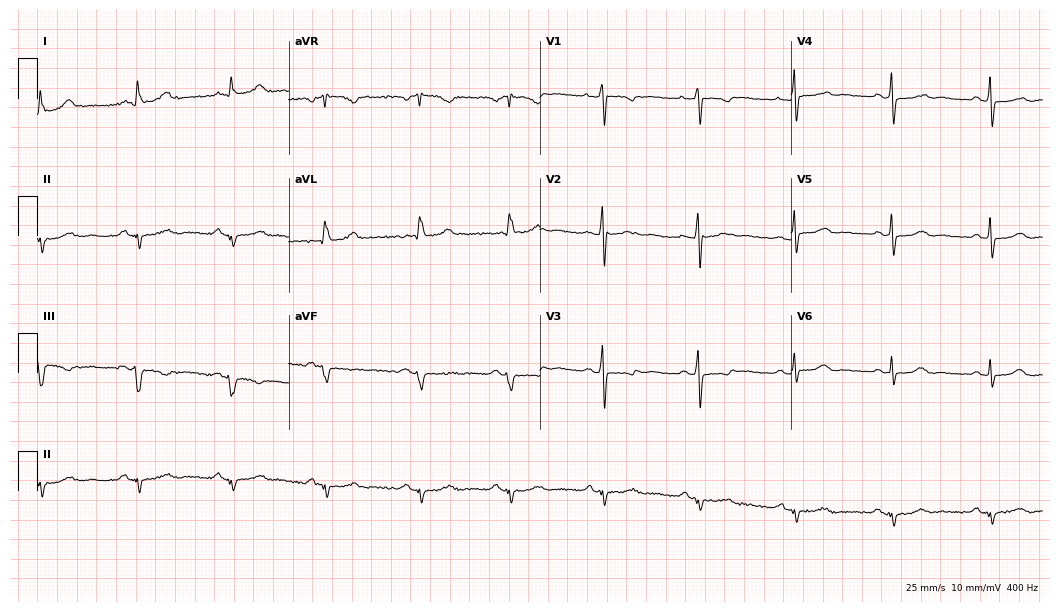
Electrocardiogram (10.2-second recording at 400 Hz), a 68-year-old man. Of the six screened findings (first-degree AV block, right bundle branch block, left bundle branch block, sinus bradycardia, atrial fibrillation, sinus tachycardia), none is recorded.